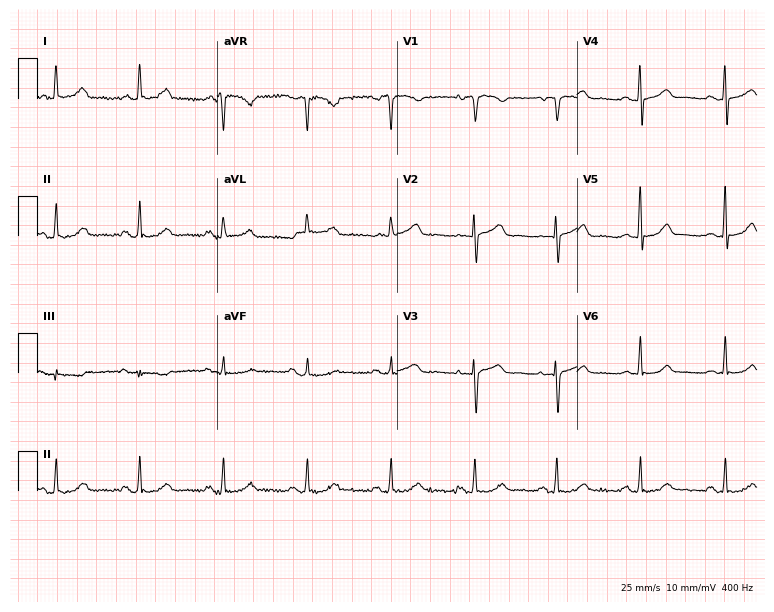
Electrocardiogram, a female, 70 years old. Overall reading on record: normal ECG.